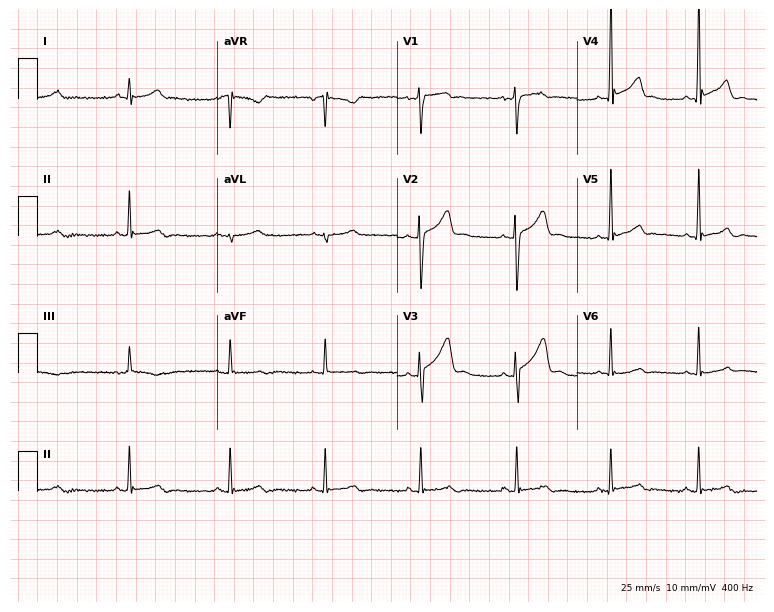
Resting 12-lead electrocardiogram (7.3-second recording at 400 Hz). Patient: a 28-year-old male. None of these six findings is recorded: first-degree AV block, right bundle branch block, left bundle branch block, sinus bradycardia, atrial fibrillation, sinus tachycardia.